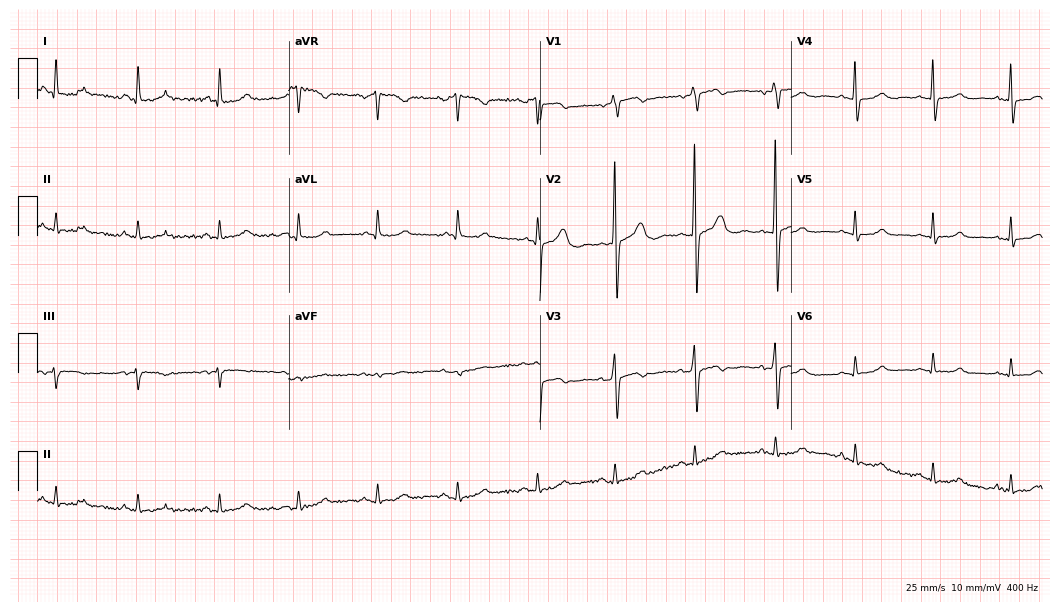
Standard 12-lead ECG recorded from an 82-year-old female patient. None of these six findings is recorded: first-degree AV block, right bundle branch block (RBBB), left bundle branch block (LBBB), sinus bradycardia, atrial fibrillation (AF), sinus tachycardia.